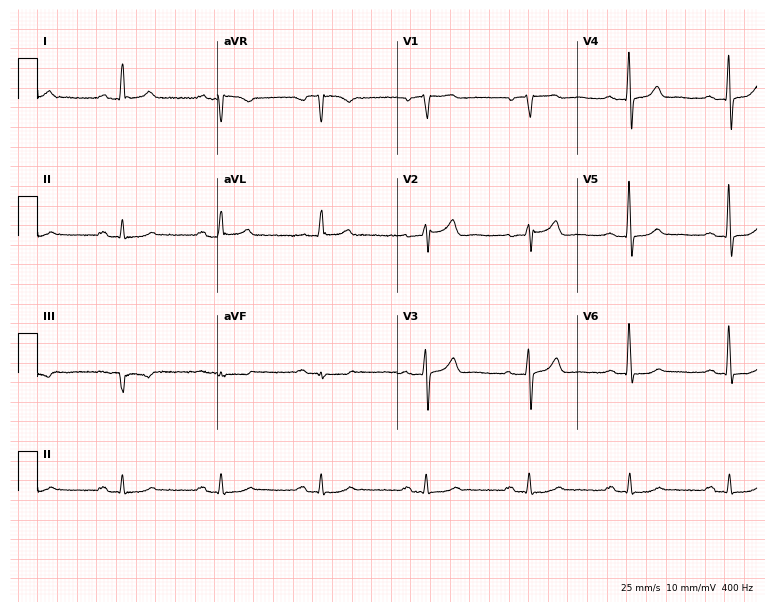
Electrocardiogram (7.3-second recording at 400 Hz), a male patient, 59 years old. Of the six screened findings (first-degree AV block, right bundle branch block (RBBB), left bundle branch block (LBBB), sinus bradycardia, atrial fibrillation (AF), sinus tachycardia), none is recorded.